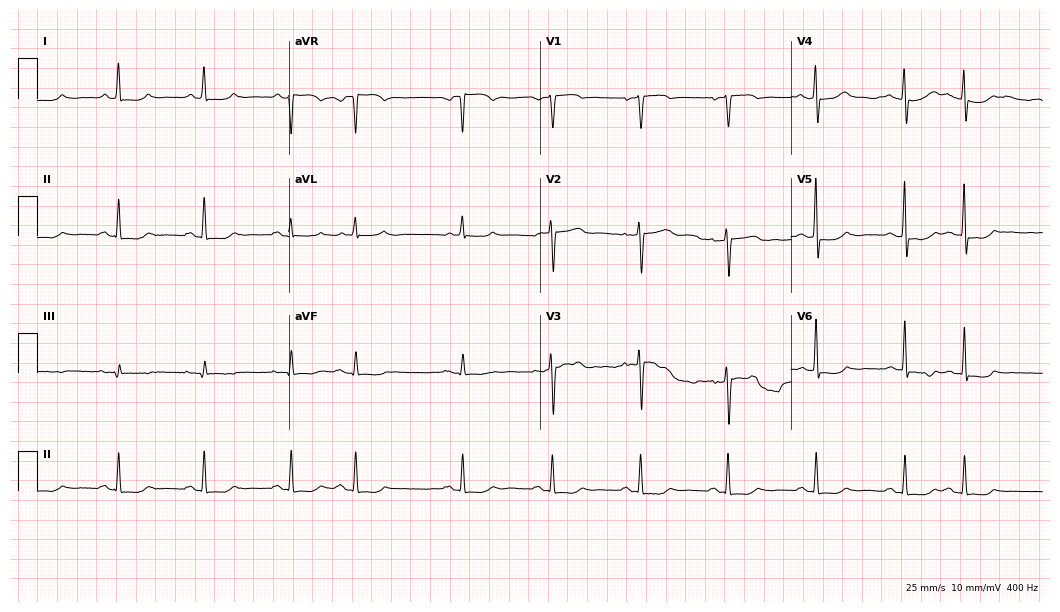
Resting 12-lead electrocardiogram. Patient: a 74-year-old woman. None of these six findings is recorded: first-degree AV block, right bundle branch block (RBBB), left bundle branch block (LBBB), sinus bradycardia, atrial fibrillation (AF), sinus tachycardia.